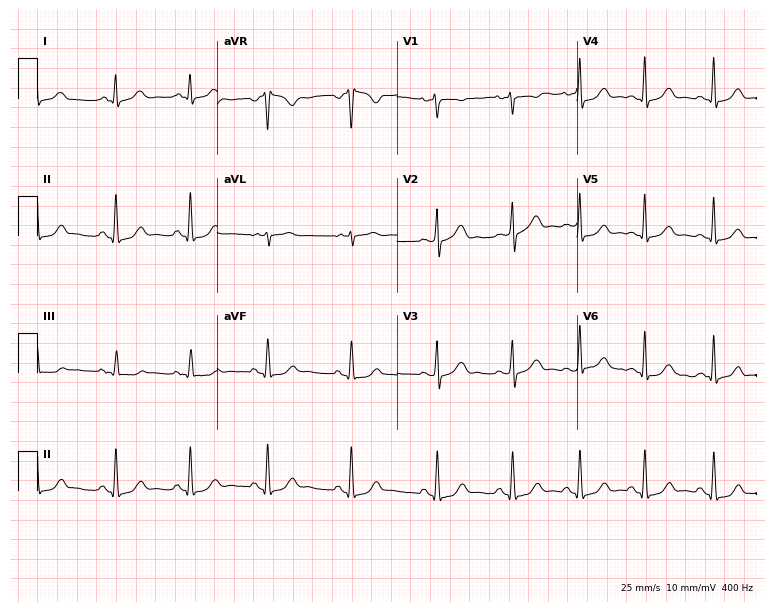
Electrocardiogram (7.3-second recording at 400 Hz), a 38-year-old woman. Of the six screened findings (first-degree AV block, right bundle branch block, left bundle branch block, sinus bradycardia, atrial fibrillation, sinus tachycardia), none is recorded. Findings outside these six are not listed.